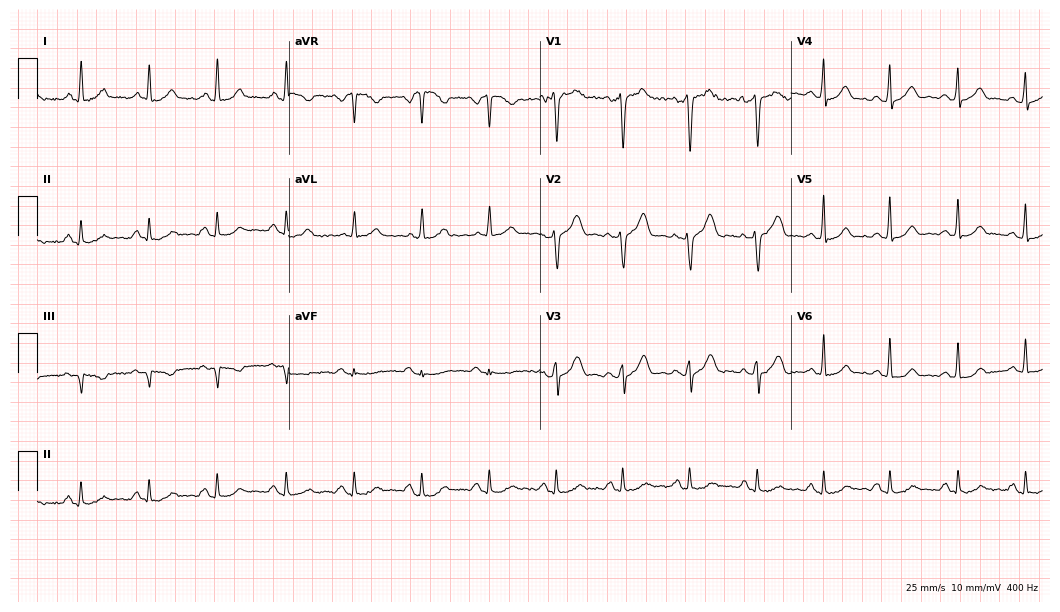
Resting 12-lead electrocardiogram. Patient: a 44-year-old female. Read as a normal ECG.